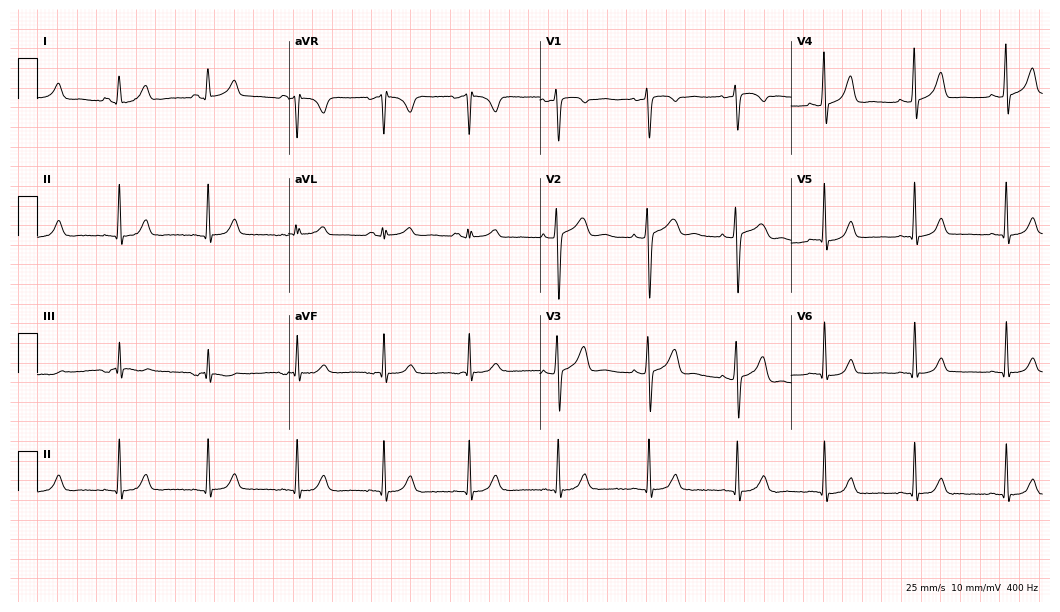
12-lead ECG from a 34-year-old woman. No first-degree AV block, right bundle branch block, left bundle branch block, sinus bradycardia, atrial fibrillation or sinus tachycardia recorded for this tracing.